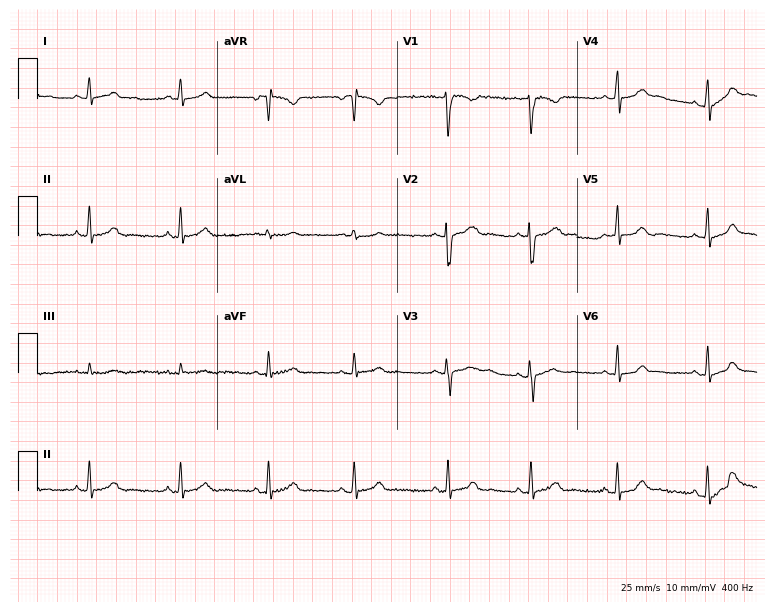
12-lead ECG from a female patient, 20 years old. No first-degree AV block, right bundle branch block, left bundle branch block, sinus bradycardia, atrial fibrillation or sinus tachycardia recorded for this tracing.